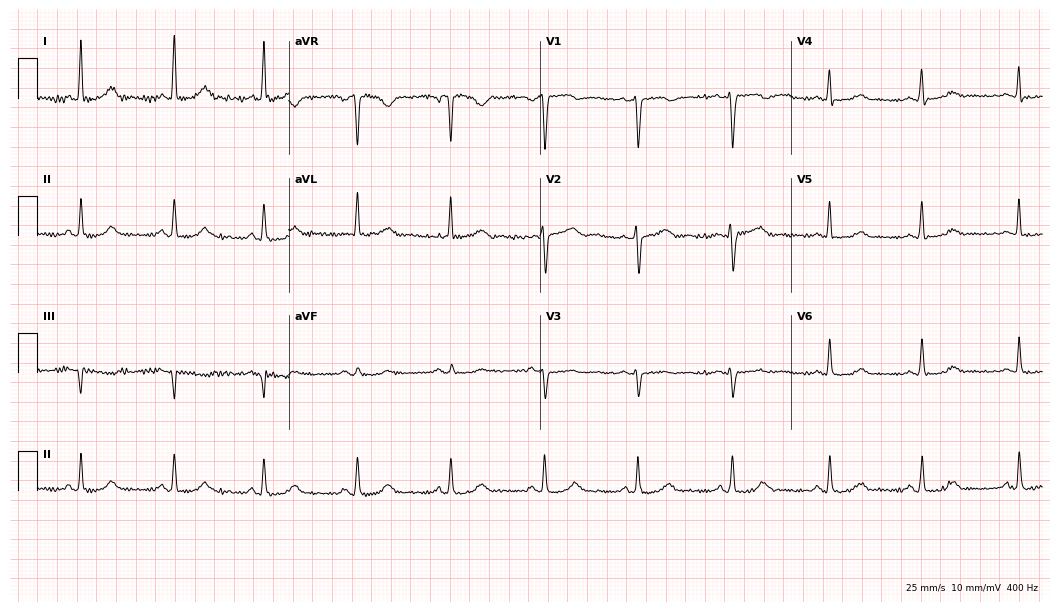
12-lead ECG (10.2-second recording at 400 Hz) from a 51-year-old female. Labelled as a normal ECG.